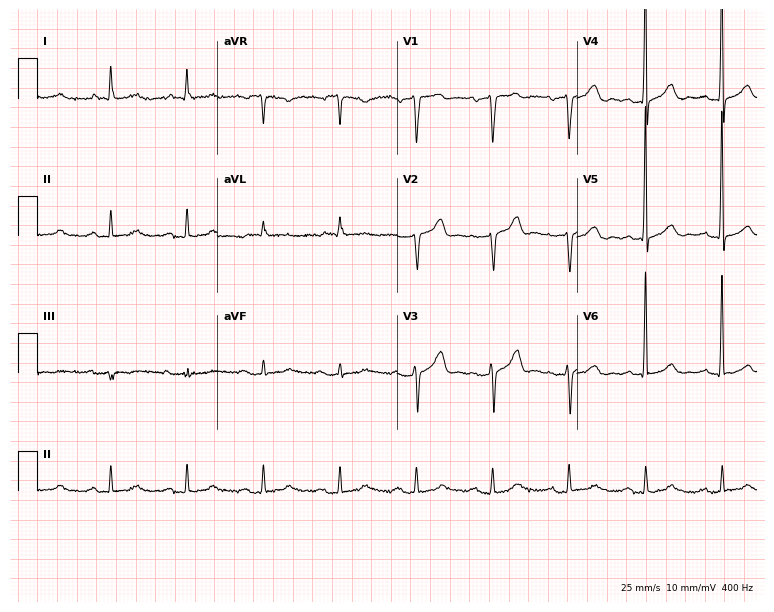
12-lead ECG from a 62-year-old male (7.3-second recording at 400 Hz). Shows first-degree AV block.